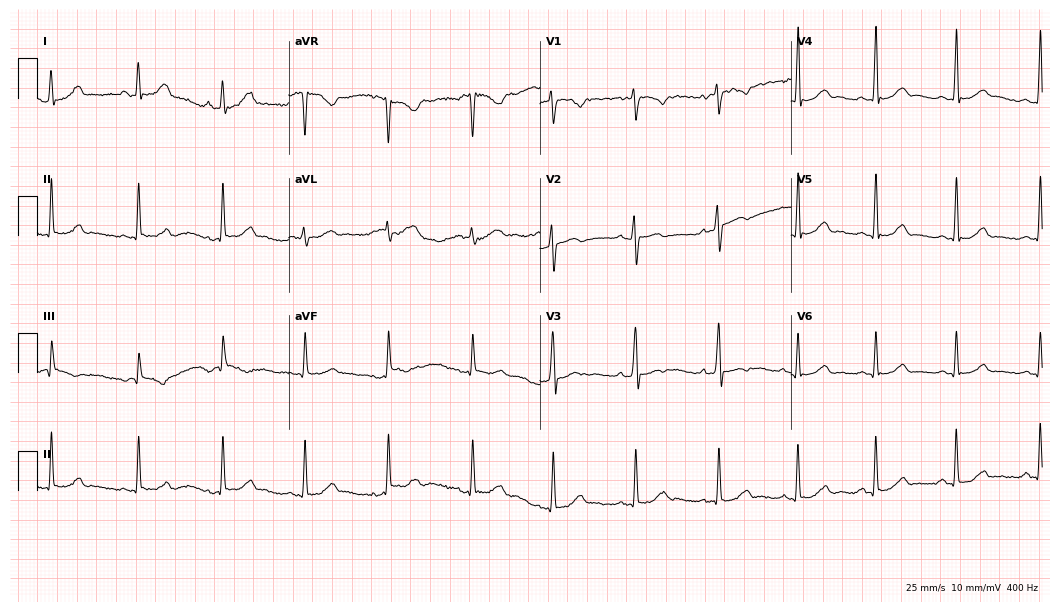
12-lead ECG (10.2-second recording at 400 Hz) from a female, 29 years old. Labelled as a normal ECG.